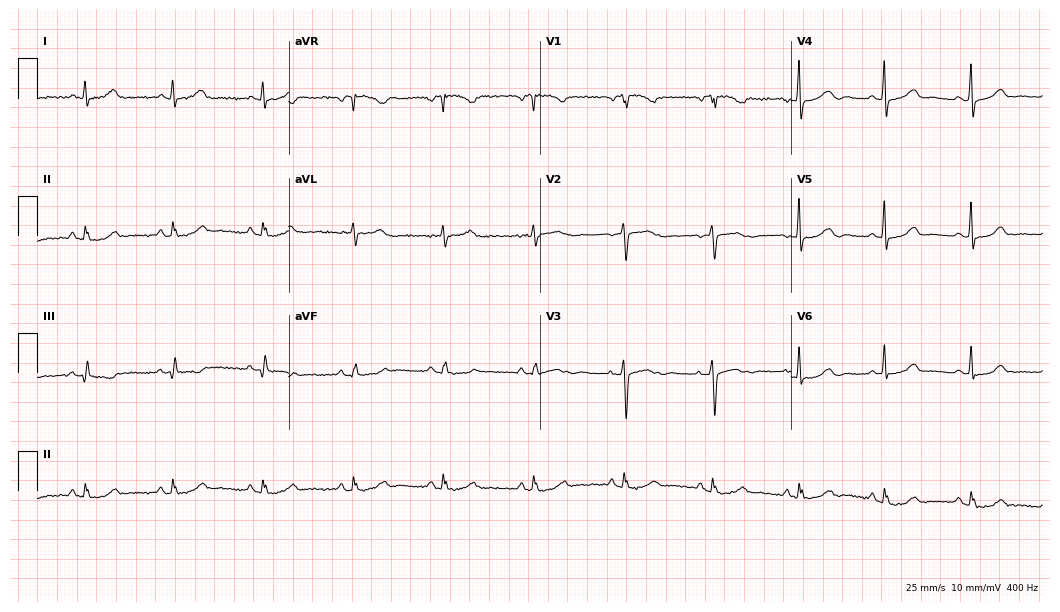
12-lead ECG from a 65-year-old female. Labelled as a normal ECG.